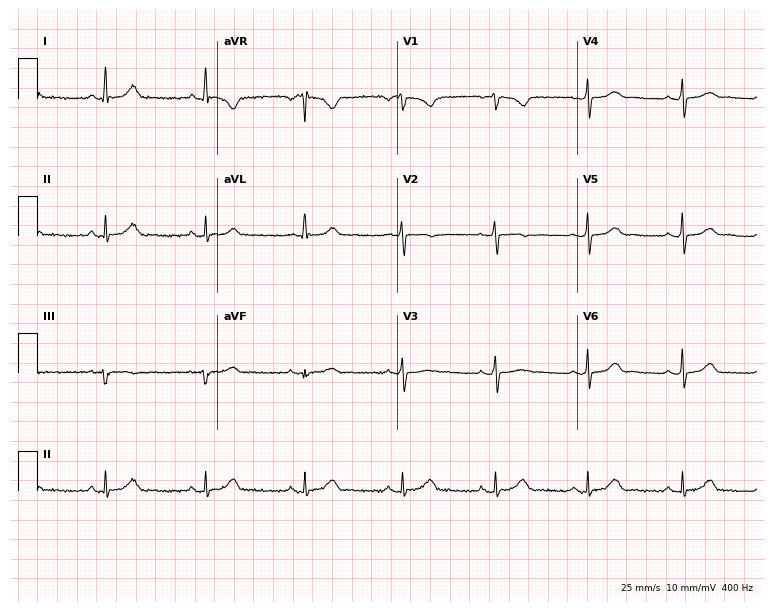
ECG (7.3-second recording at 400 Hz) — a 41-year-old female. Labelled as a normal ECG.